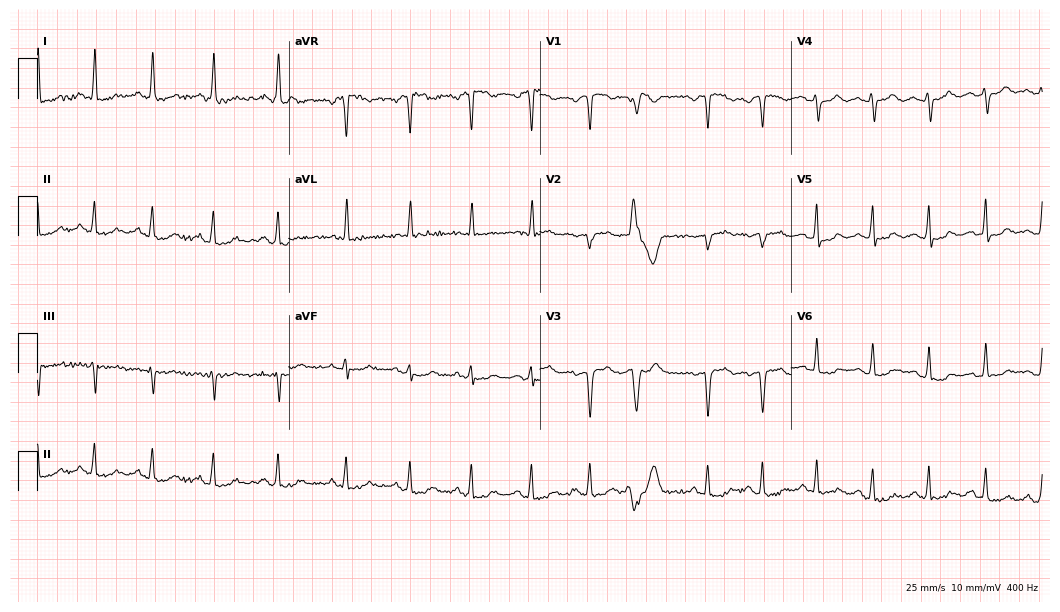
Electrocardiogram, a 46-year-old woman. Overall reading on record: normal ECG.